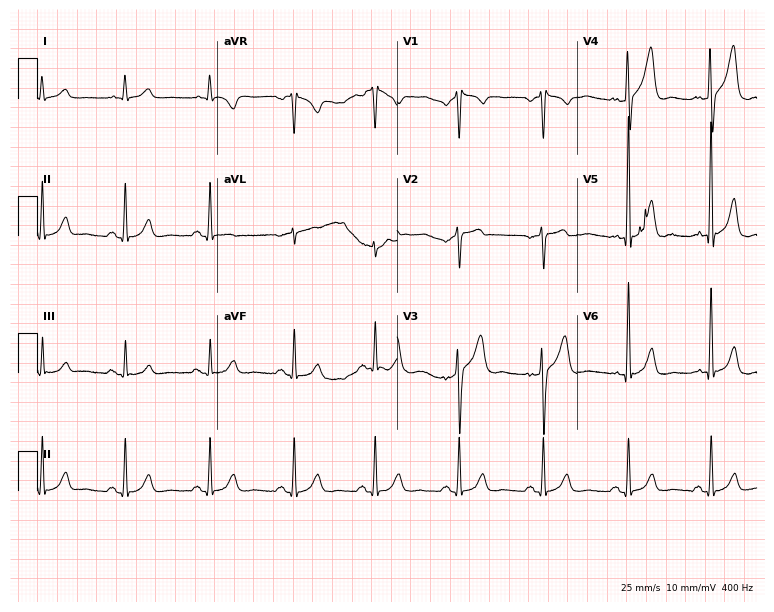
12-lead ECG from a male patient, 74 years old. Recorded interpretation: within normal limits.